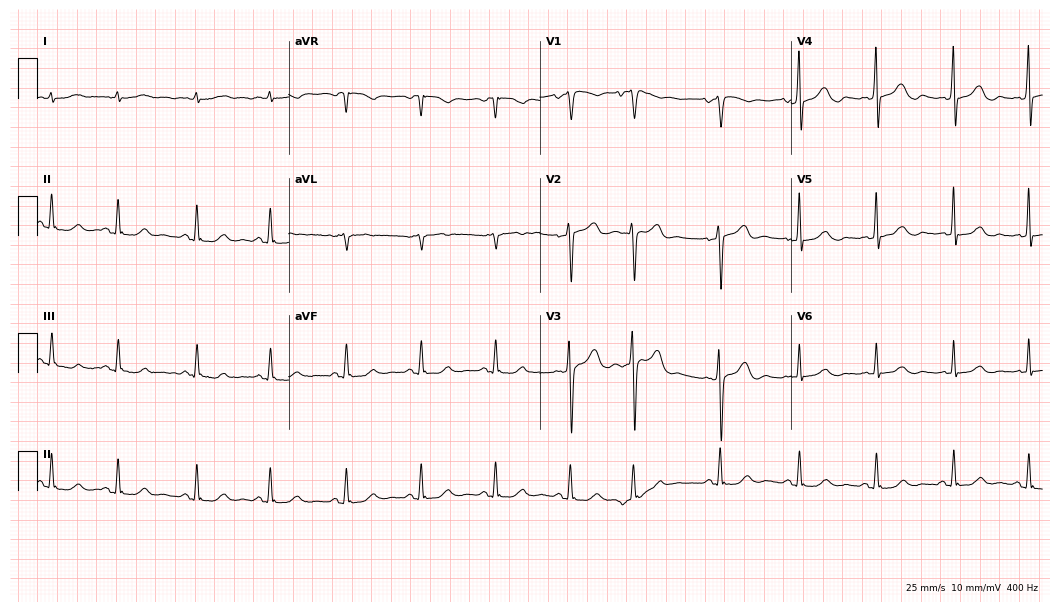
12-lead ECG from a 79-year-old female. Recorded interpretation: within normal limits.